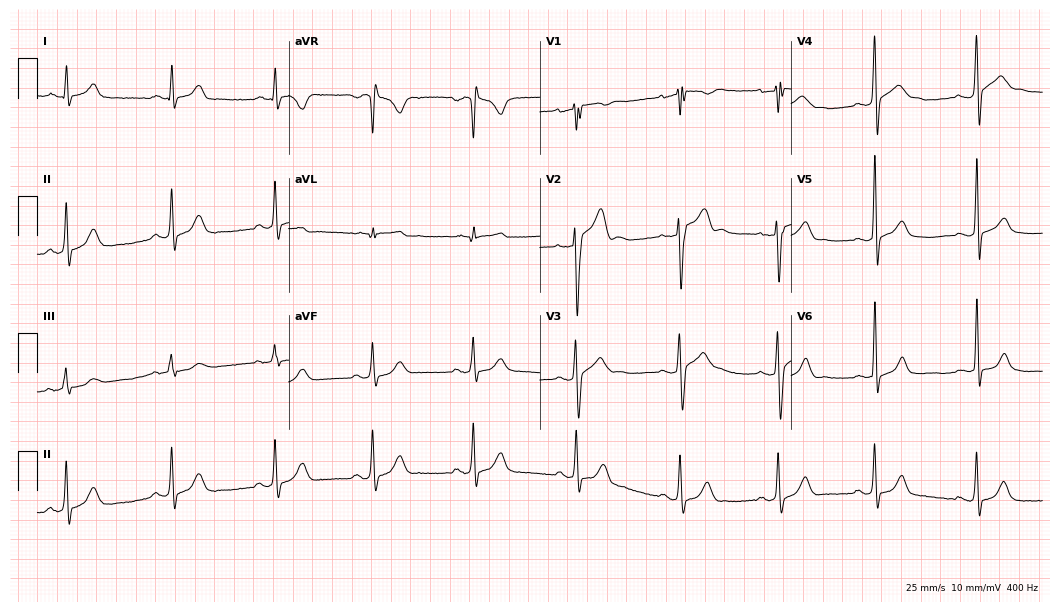
ECG — a 26-year-old male. Labelled as a normal ECG.